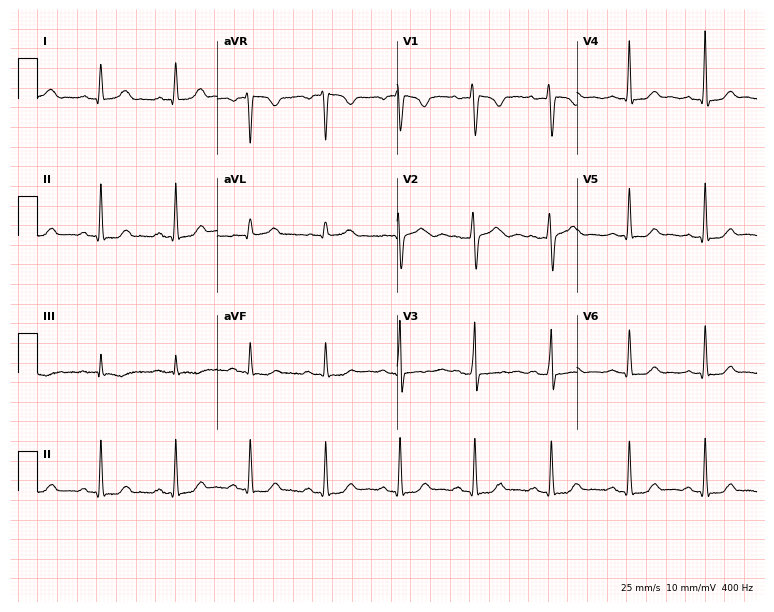
12-lead ECG from a female, 29 years old. Labelled as a normal ECG.